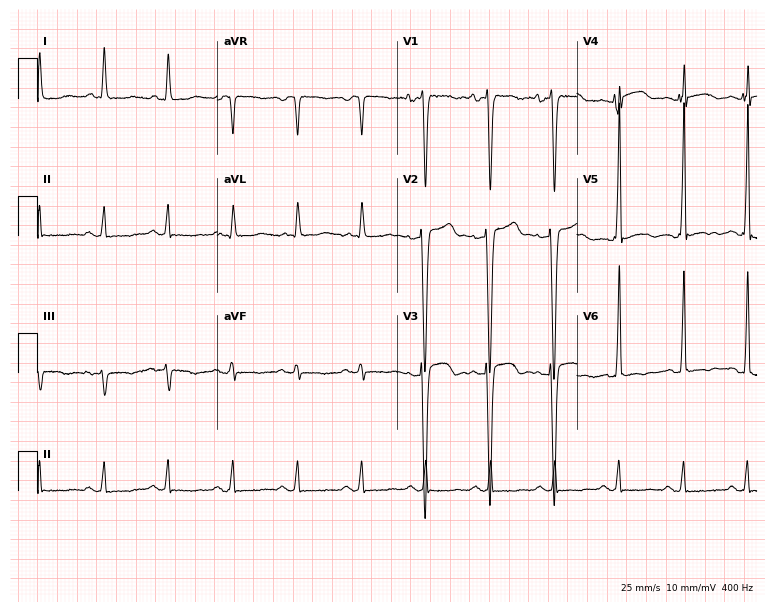
12-lead ECG from a man, 57 years old. Screened for six findings — first-degree AV block, right bundle branch block (RBBB), left bundle branch block (LBBB), sinus bradycardia, atrial fibrillation (AF), sinus tachycardia — none is recorded. Only these six findings were labelled.